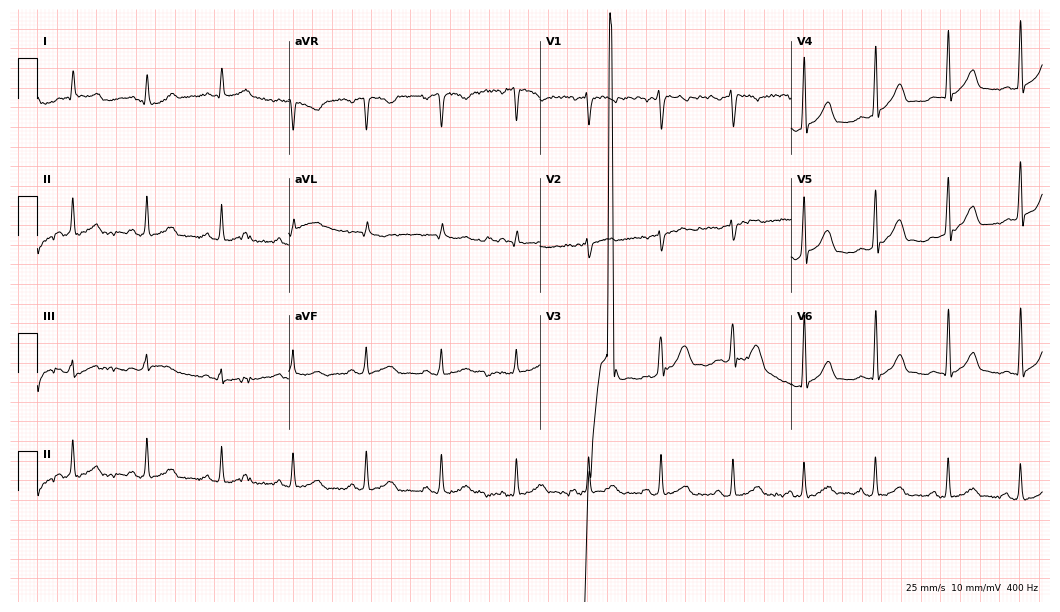
12-lead ECG from a 39-year-old male (10.2-second recording at 400 Hz). No first-degree AV block, right bundle branch block (RBBB), left bundle branch block (LBBB), sinus bradycardia, atrial fibrillation (AF) or sinus tachycardia recorded for this tracing.